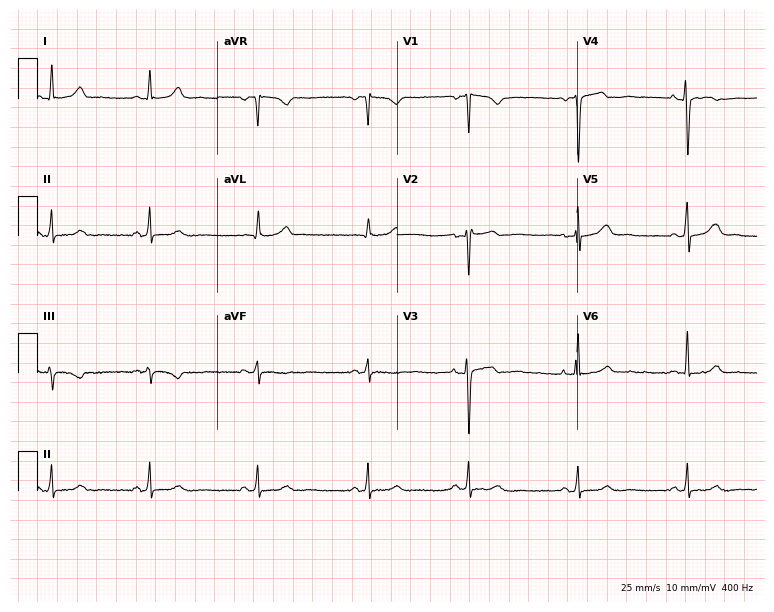
12-lead ECG from a 37-year-old female patient. No first-degree AV block, right bundle branch block, left bundle branch block, sinus bradycardia, atrial fibrillation or sinus tachycardia recorded for this tracing. Other findings, if any, are not listed.